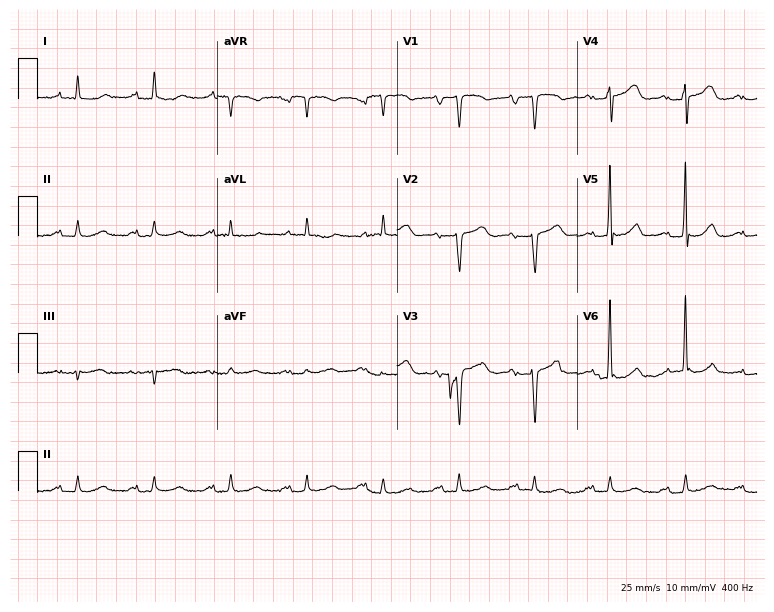
Electrocardiogram (7.3-second recording at 400 Hz), a male patient aged 90 or older. Of the six screened findings (first-degree AV block, right bundle branch block, left bundle branch block, sinus bradycardia, atrial fibrillation, sinus tachycardia), none is recorded. Other findings, if any, are not listed.